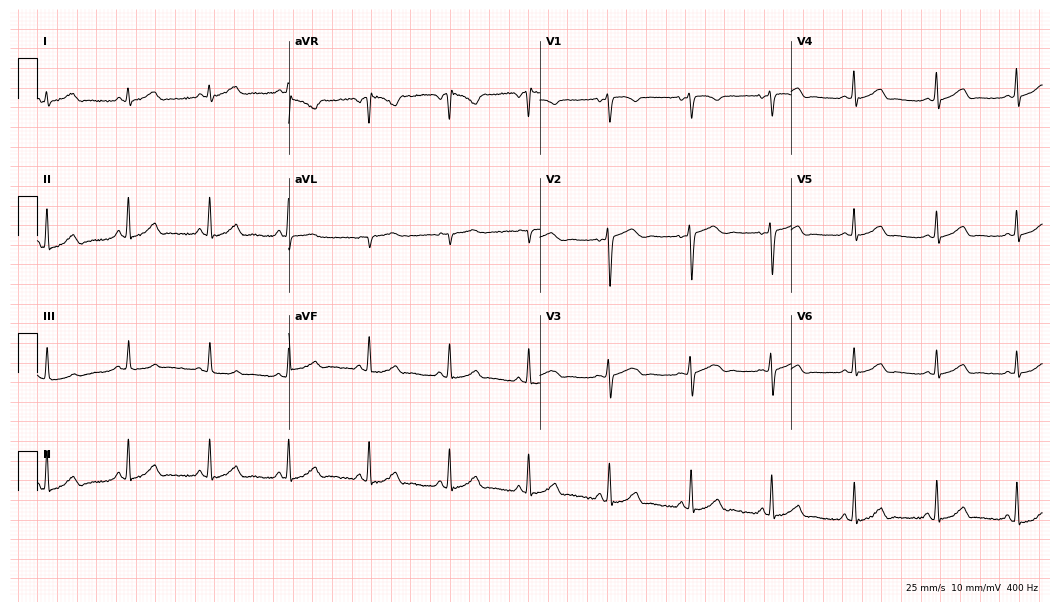
Electrocardiogram (10.2-second recording at 400 Hz), a female patient, 42 years old. Overall reading on record: normal ECG.